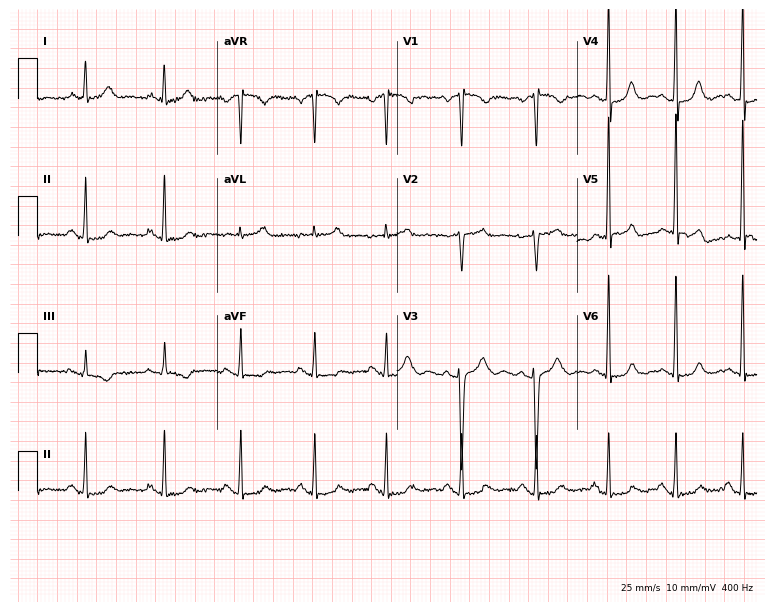
12-lead ECG from a woman, 46 years old (7.3-second recording at 400 Hz). No first-degree AV block, right bundle branch block, left bundle branch block, sinus bradycardia, atrial fibrillation or sinus tachycardia recorded for this tracing. Other findings, if any, are not listed.